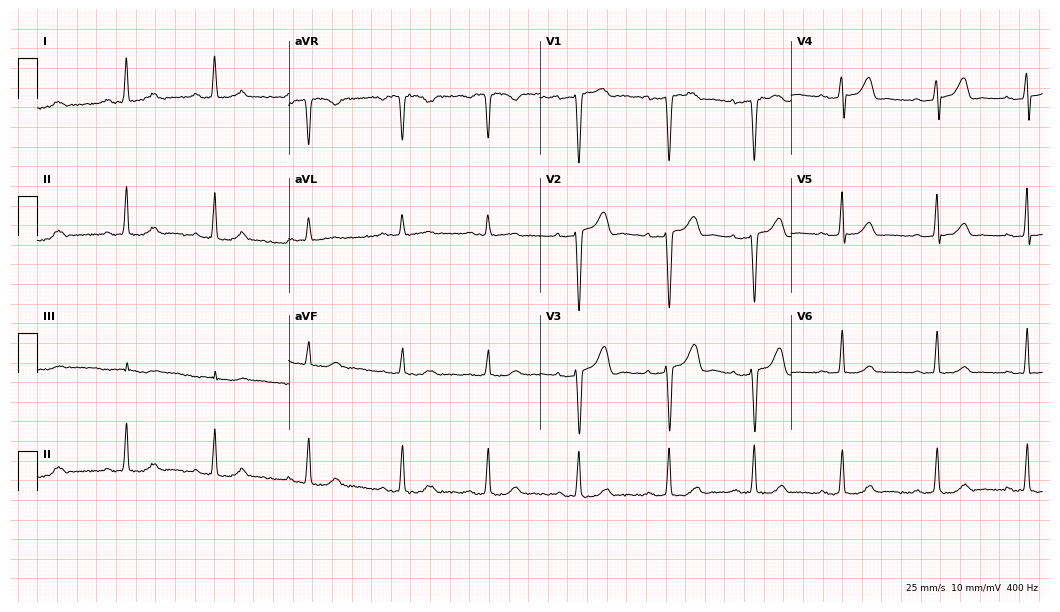
Resting 12-lead electrocardiogram (10.2-second recording at 400 Hz). Patient: a 37-year-old female. None of these six findings is recorded: first-degree AV block, right bundle branch block, left bundle branch block, sinus bradycardia, atrial fibrillation, sinus tachycardia. Only these six findings were labelled.